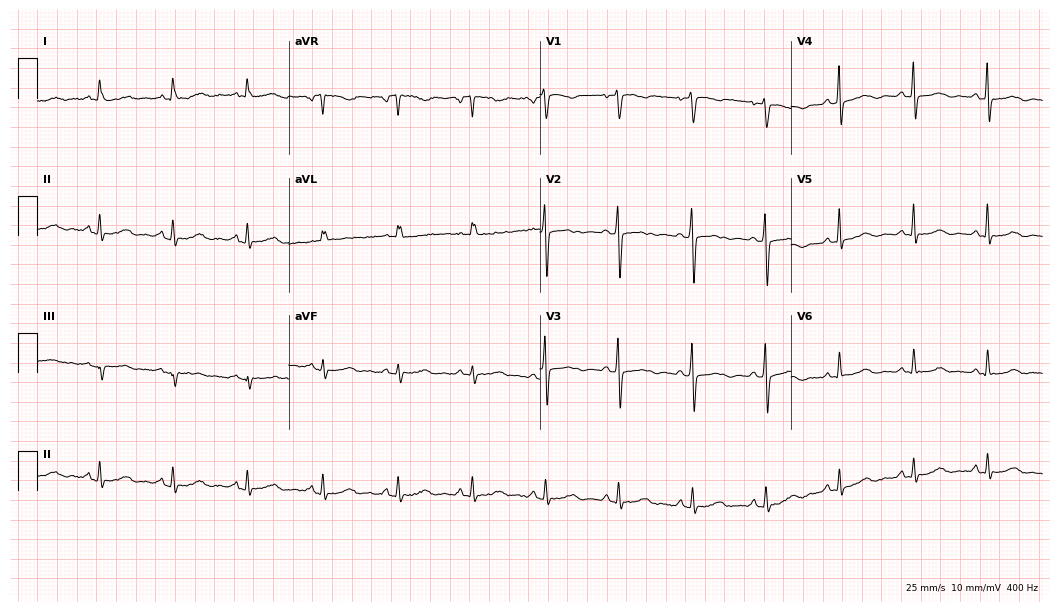
12-lead ECG from a 60-year-old woman. No first-degree AV block, right bundle branch block, left bundle branch block, sinus bradycardia, atrial fibrillation or sinus tachycardia recorded for this tracing.